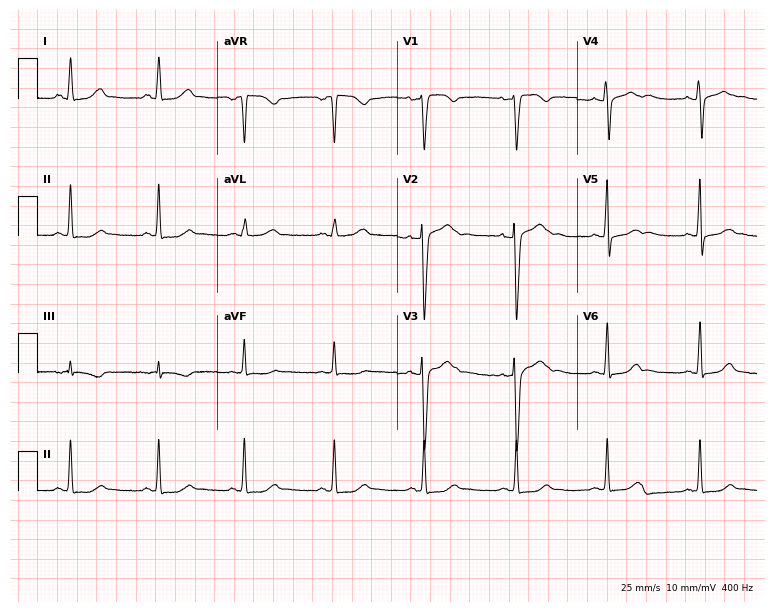
Standard 12-lead ECG recorded from a 38-year-old female patient. Read as a normal ECG.